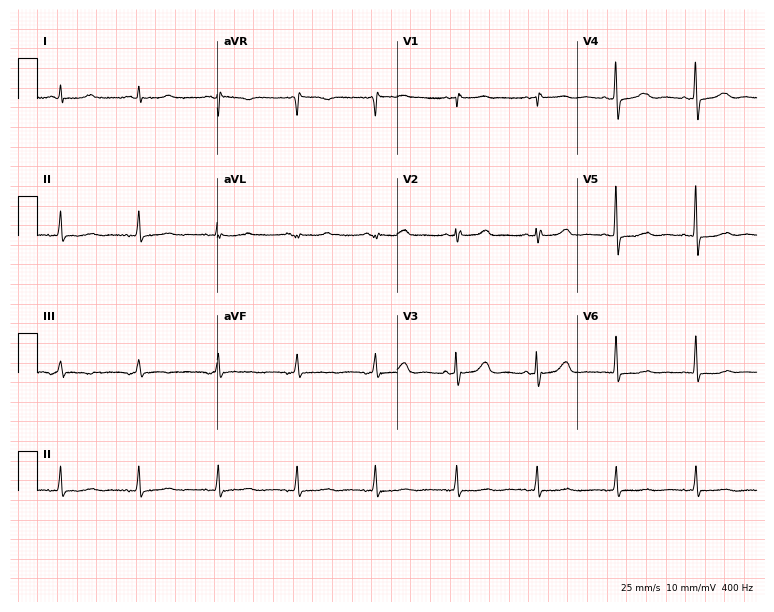
12-lead ECG from a woman, 72 years old. Screened for six findings — first-degree AV block, right bundle branch block, left bundle branch block, sinus bradycardia, atrial fibrillation, sinus tachycardia — none is recorded. Only these six findings were labelled.